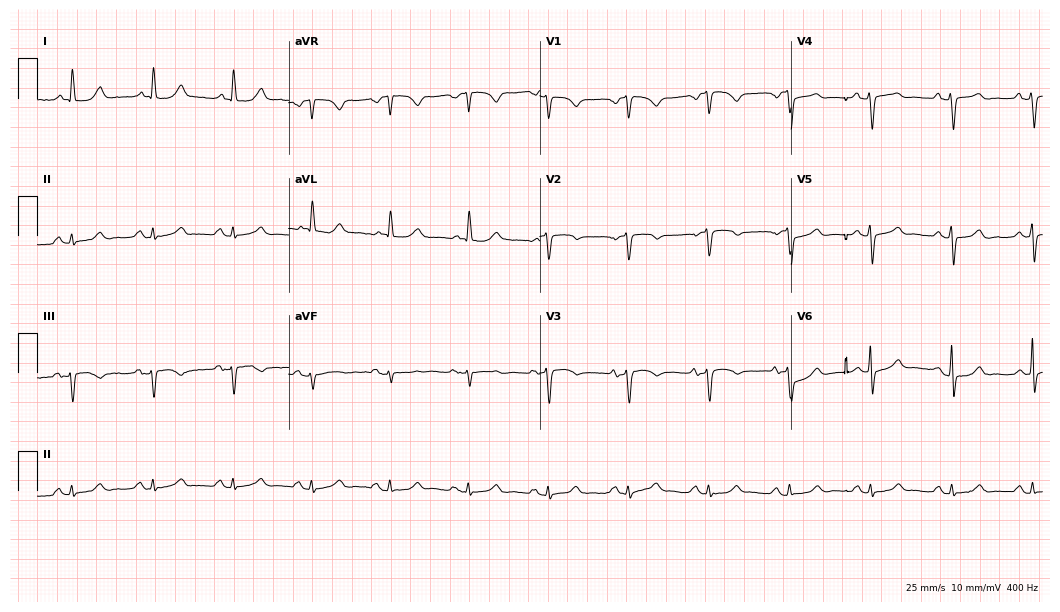
ECG — a 77-year-old female patient. Labelled as a normal ECG.